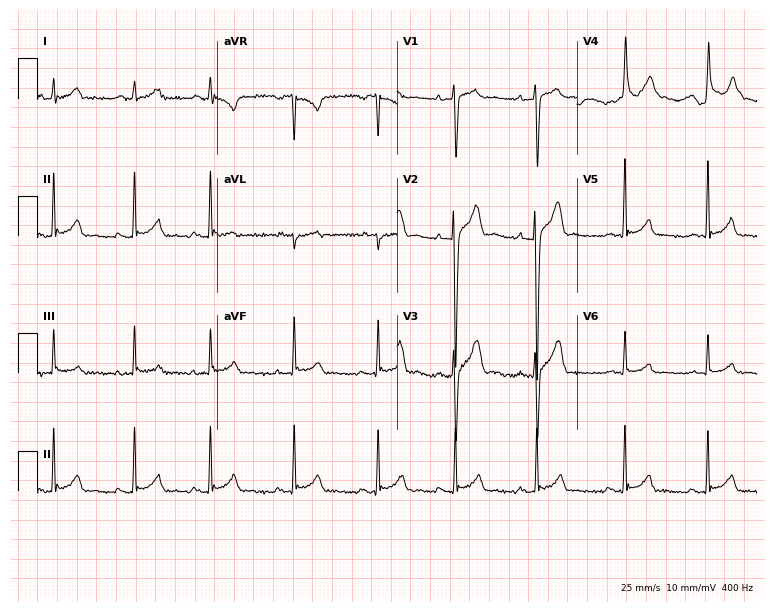
12-lead ECG from a 20-year-old male. Labelled as a normal ECG.